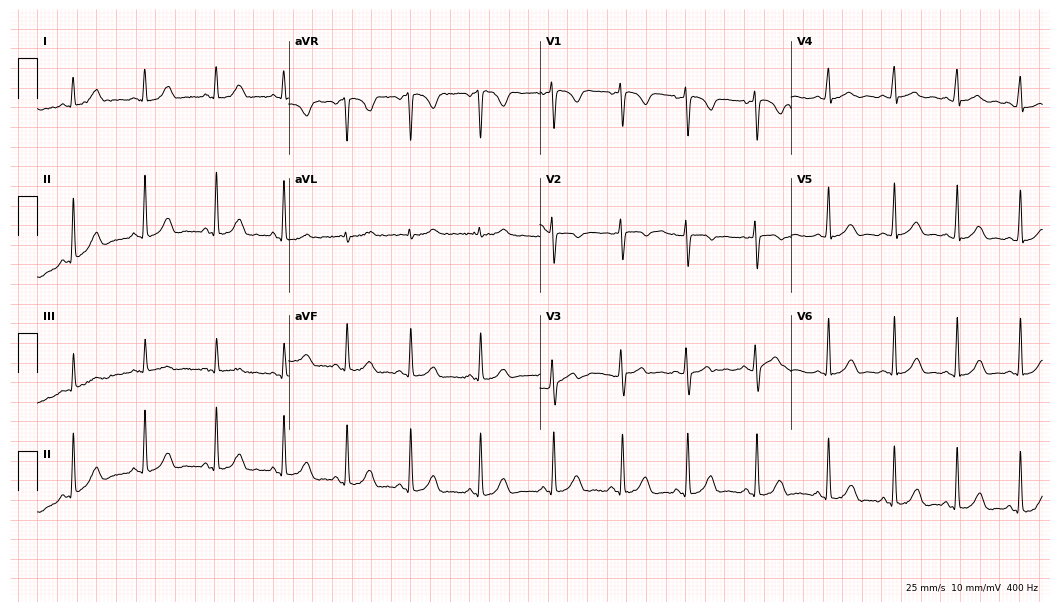
Standard 12-lead ECG recorded from a 27-year-old female patient. None of these six findings is recorded: first-degree AV block, right bundle branch block, left bundle branch block, sinus bradycardia, atrial fibrillation, sinus tachycardia.